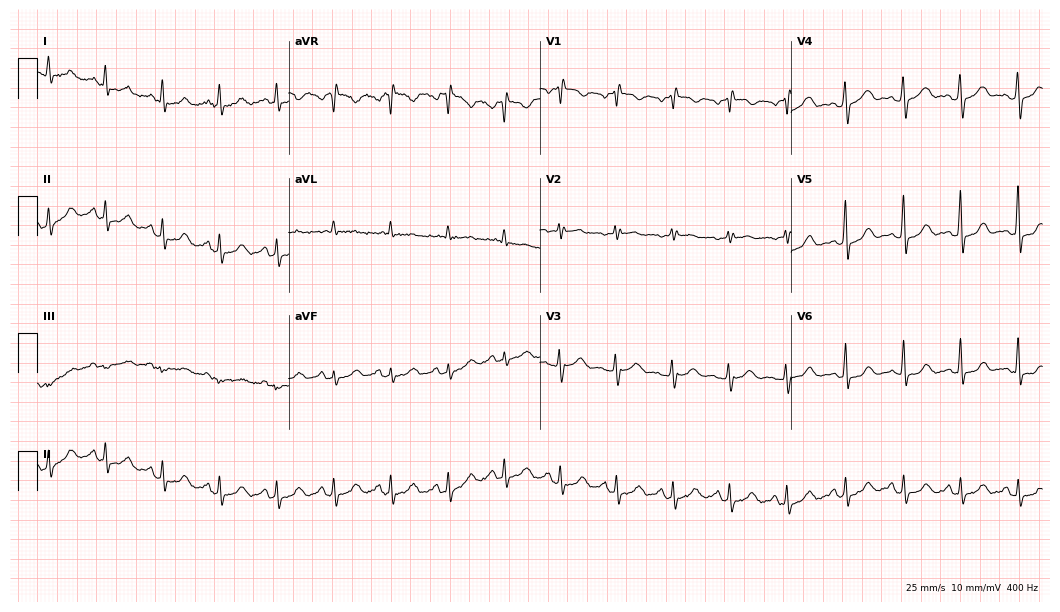
ECG — a 46-year-old female. Findings include sinus tachycardia (a sinus rate of 100 beats per minute or more).